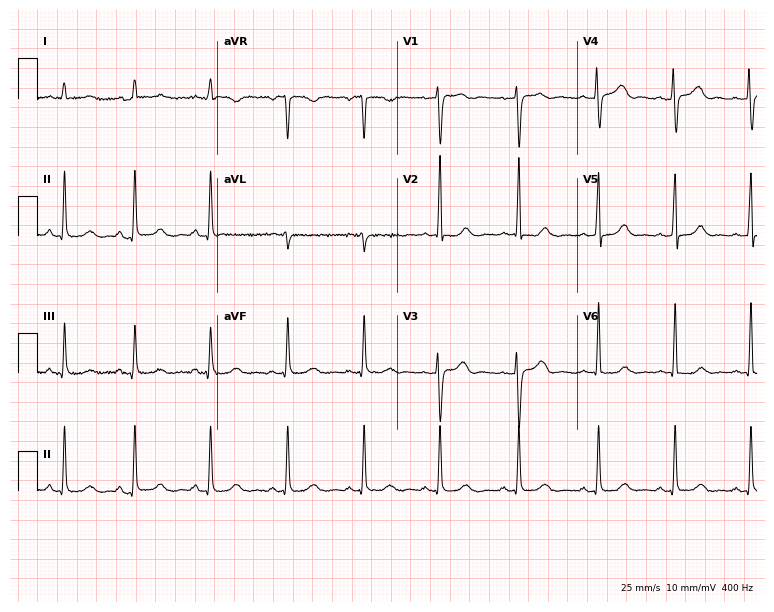
Resting 12-lead electrocardiogram (7.3-second recording at 400 Hz). Patient: a 42-year-old female. None of these six findings is recorded: first-degree AV block, right bundle branch block, left bundle branch block, sinus bradycardia, atrial fibrillation, sinus tachycardia.